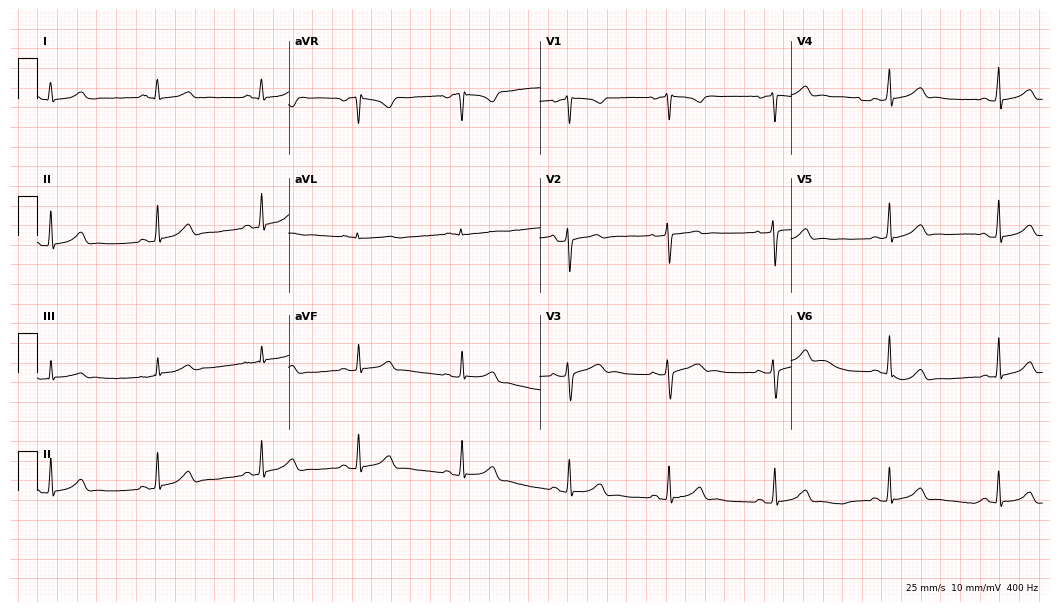
12-lead ECG from a female, 21 years old (10.2-second recording at 400 Hz). No first-degree AV block, right bundle branch block, left bundle branch block, sinus bradycardia, atrial fibrillation or sinus tachycardia recorded for this tracing.